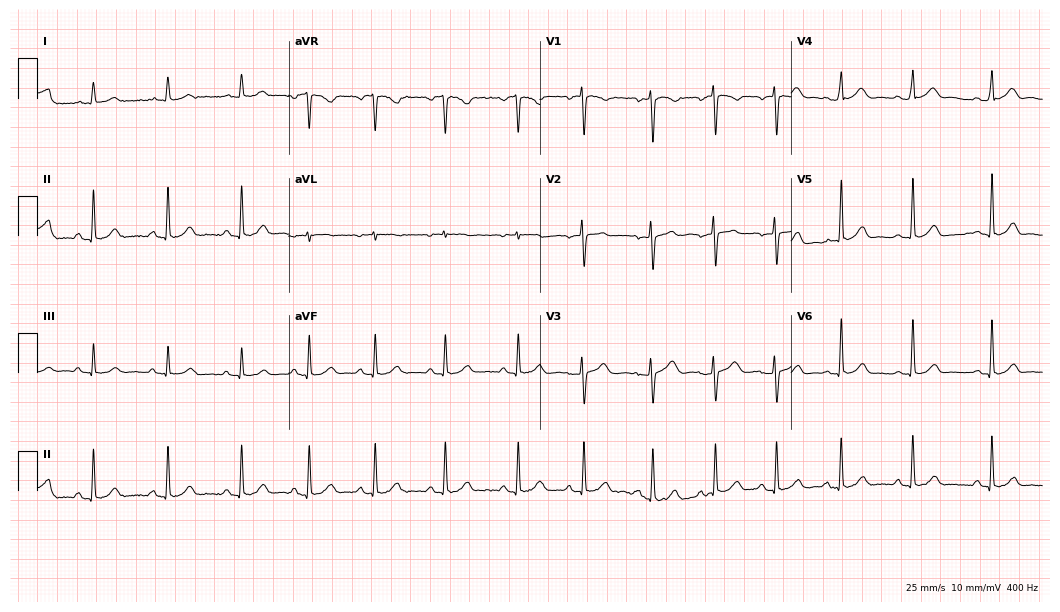
12-lead ECG from a female patient, 26 years old (10.2-second recording at 400 Hz). Recorded interpretation: within normal limits.